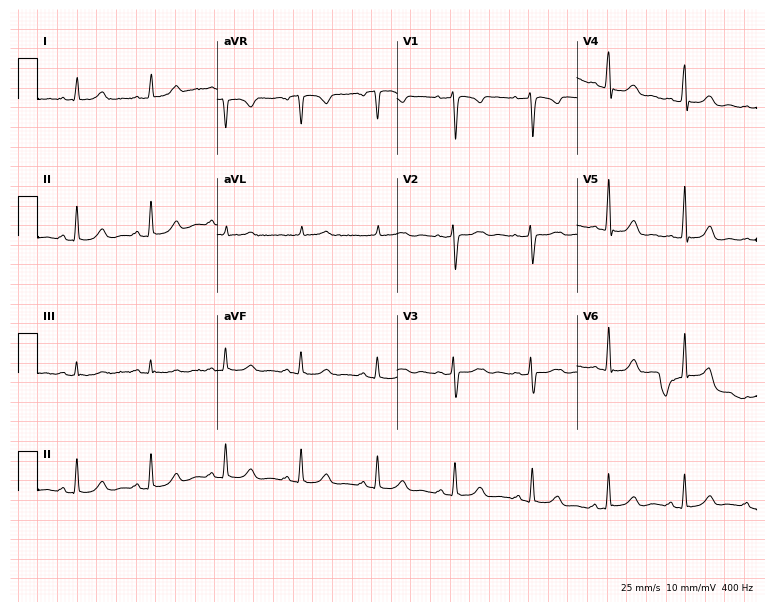
Electrocardiogram, a female, 42 years old. Of the six screened findings (first-degree AV block, right bundle branch block (RBBB), left bundle branch block (LBBB), sinus bradycardia, atrial fibrillation (AF), sinus tachycardia), none is recorded.